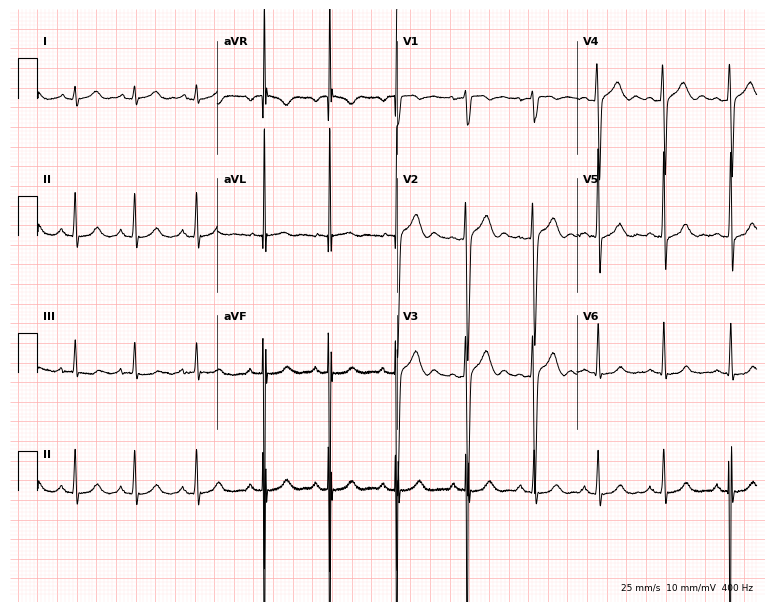
Standard 12-lead ECG recorded from a 24-year-old male. Read as a normal ECG.